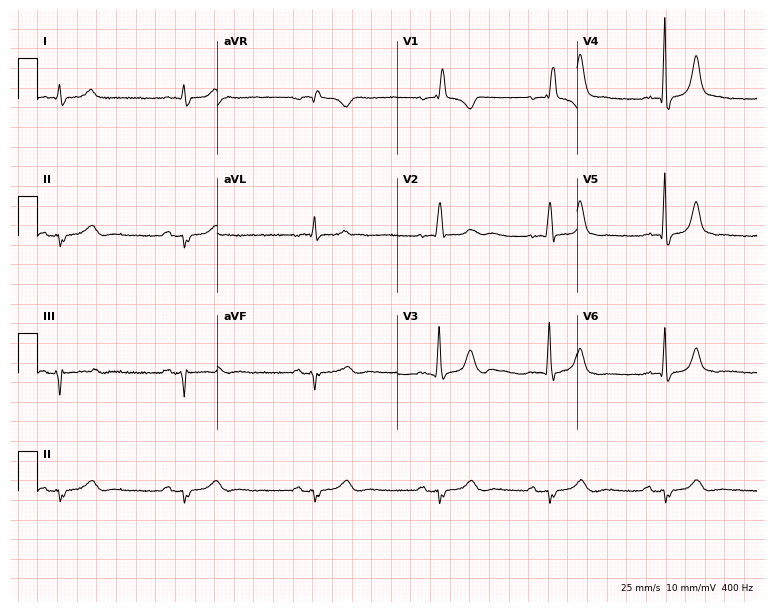
12-lead ECG (7.3-second recording at 400 Hz) from a male, 55 years old. Findings include right bundle branch block, sinus bradycardia (a sinus rate of 50 beats per minute or less).